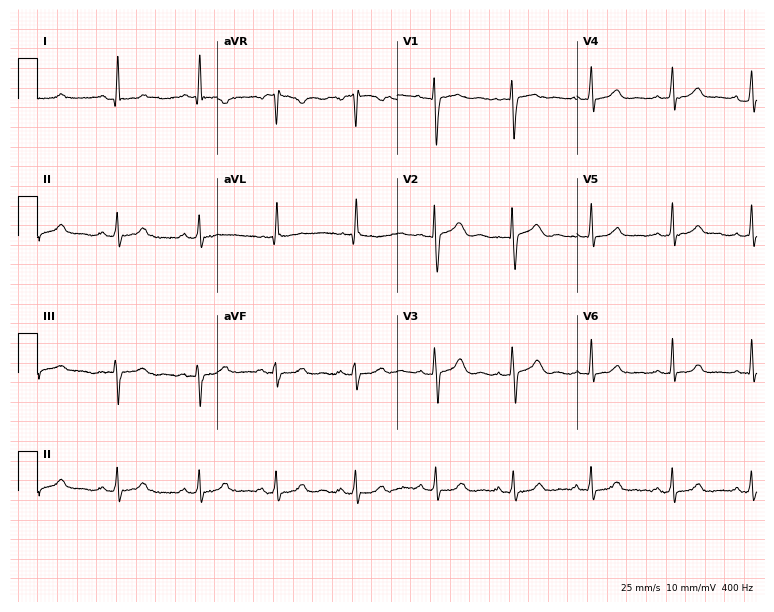
Electrocardiogram, a 24-year-old female patient. Of the six screened findings (first-degree AV block, right bundle branch block (RBBB), left bundle branch block (LBBB), sinus bradycardia, atrial fibrillation (AF), sinus tachycardia), none is recorded. Findings outside these six are not listed.